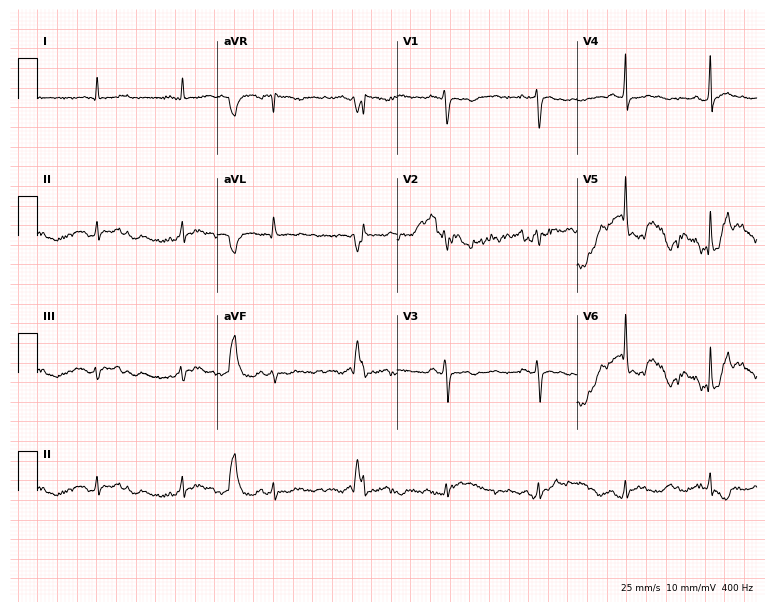
Electrocardiogram, a female patient, 29 years old. Of the six screened findings (first-degree AV block, right bundle branch block (RBBB), left bundle branch block (LBBB), sinus bradycardia, atrial fibrillation (AF), sinus tachycardia), none is recorded.